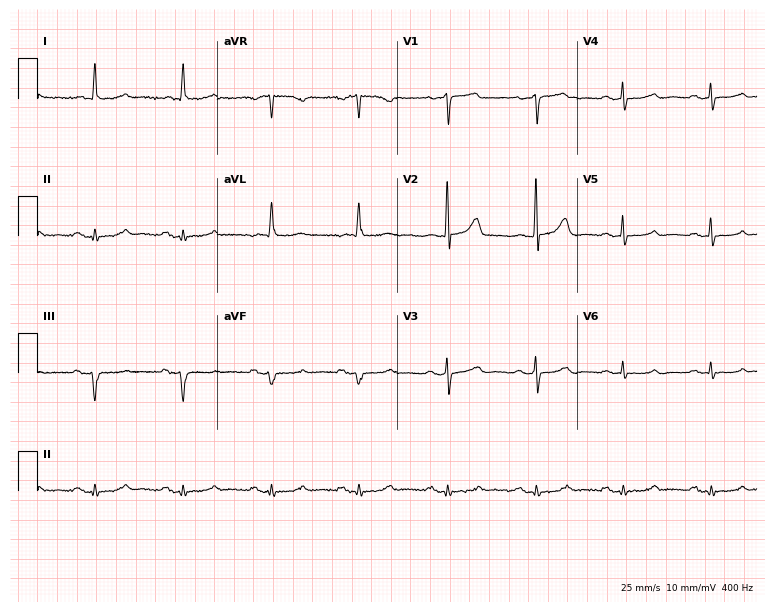
Resting 12-lead electrocardiogram (7.3-second recording at 400 Hz). Patient: an 85-year-old woman. Read as a normal ECG.